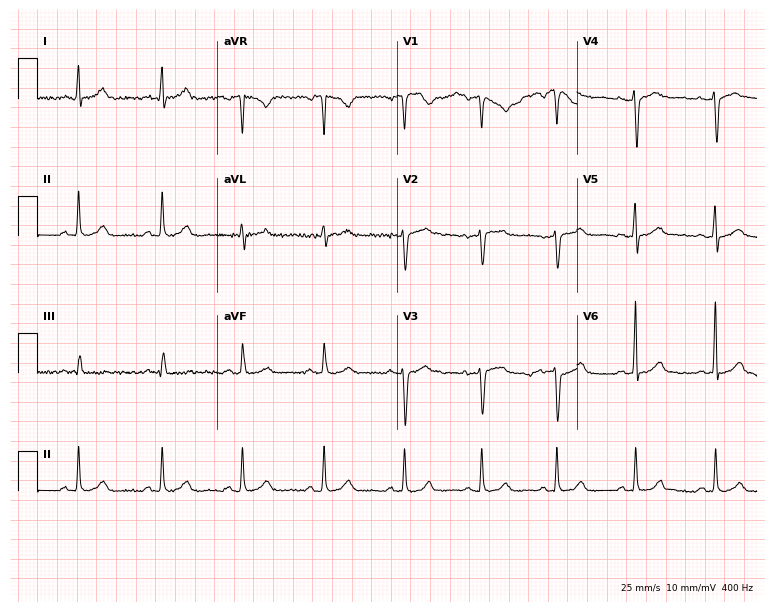
Electrocardiogram (7.3-second recording at 400 Hz), a female, 29 years old. Overall reading on record: normal ECG.